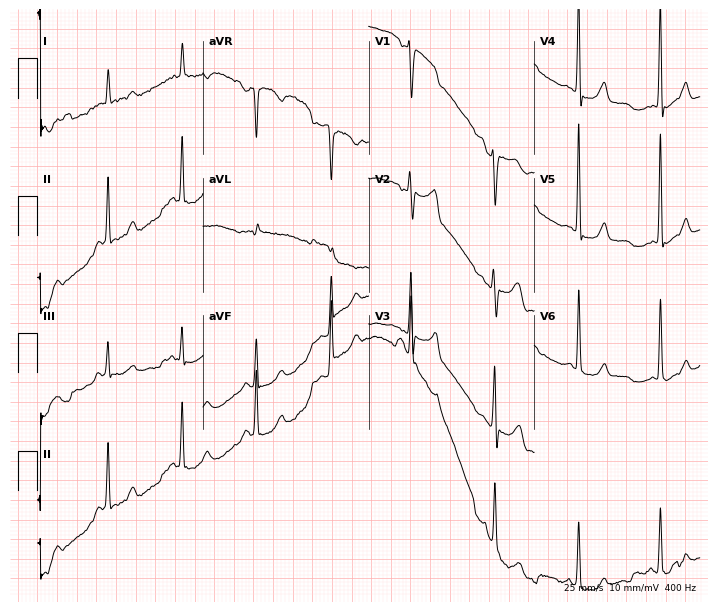
ECG (6.8-second recording at 400 Hz) — a 61-year-old female patient. Labelled as a normal ECG.